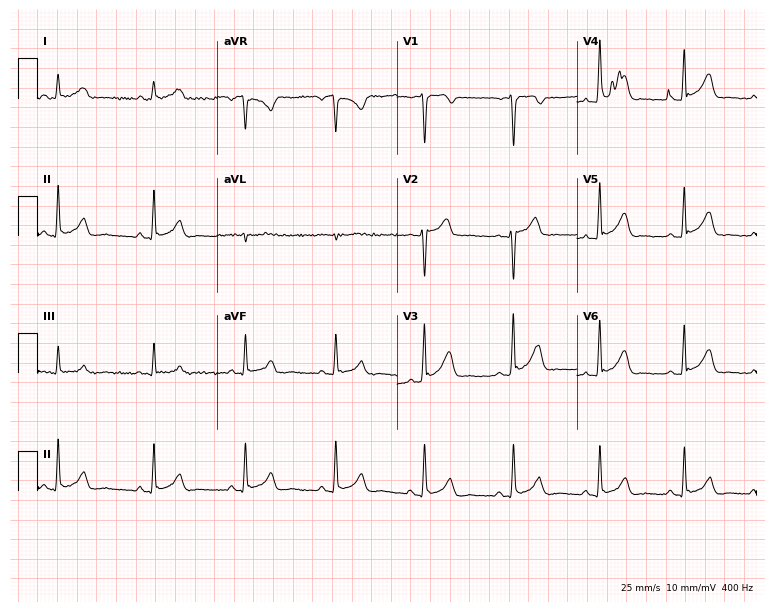
Resting 12-lead electrocardiogram (7.3-second recording at 400 Hz). Patient: a male, 36 years old. None of these six findings is recorded: first-degree AV block, right bundle branch block, left bundle branch block, sinus bradycardia, atrial fibrillation, sinus tachycardia.